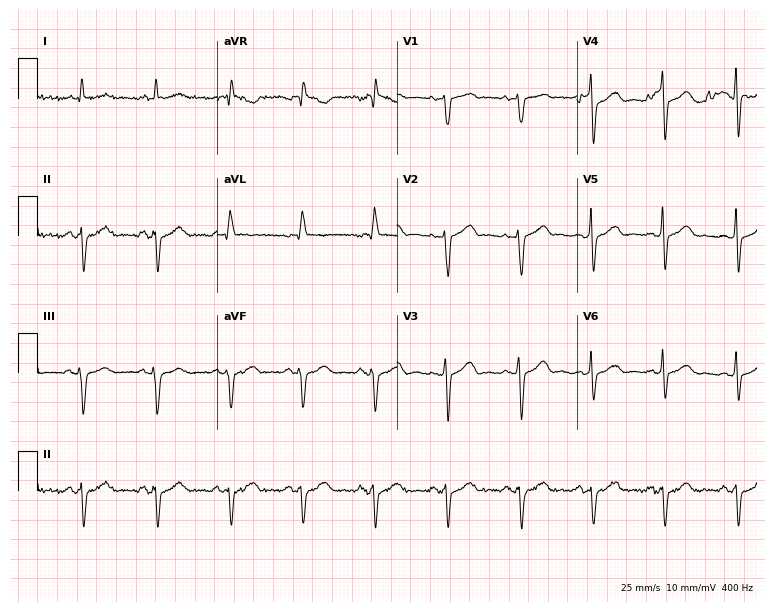
Resting 12-lead electrocardiogram. Patient: a male, 63 years old. None of these six findings is recorded: first-degree AV block, right bundle branch block (RBBB), left bundle branch block (LBBB), sinus bradycardia, atrial fibrillation (AF), sinus tachycardia.